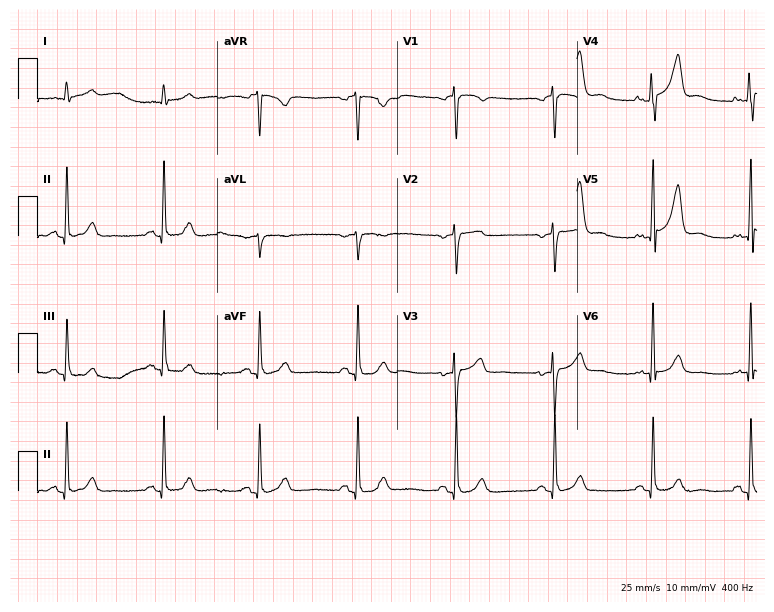
Standard 12-lead ECG recorded from a male patient, 74 years old (7.3-second recording at 400 Hz). None of these six findings is recorded: first-degree AV block, right bundle branch block (RBBB), left bundle branch block (LBBB), sinus bradycardia, atrial fibrillation (AF), sinus tachycardia.